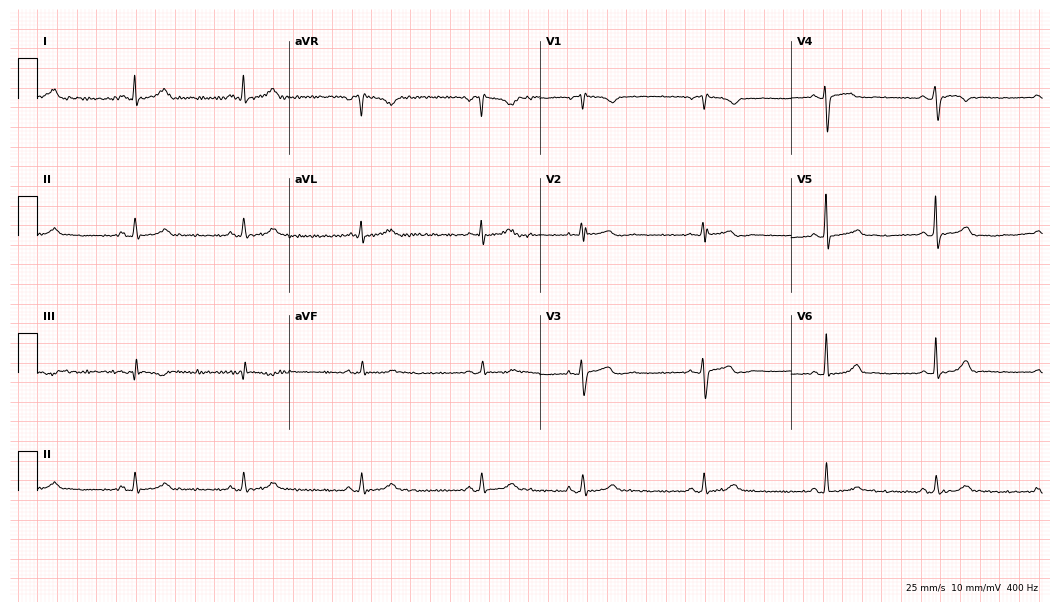
ECG — a female patient, 35 years old. Screened for six findings — first-degree AV block, right bundle branch block (RBBB), left bundle branch block (LBBB), sinus bradycardia, atrial fibrillation (AF), sinus tachycardia — none is recorded.